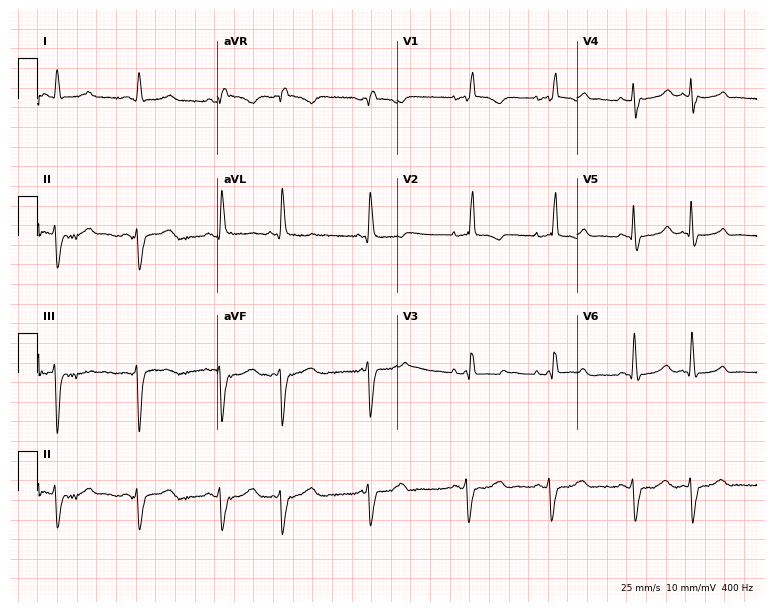
Electrocardiogram, a female, 80 years old. Of the six screened findings (first-degree AV block, right bundle branch block, left bundle branch block, sinus bradycardia, atrial fibrillation, sinus tachycardia), none is recorded. Only these six findings were labelled.